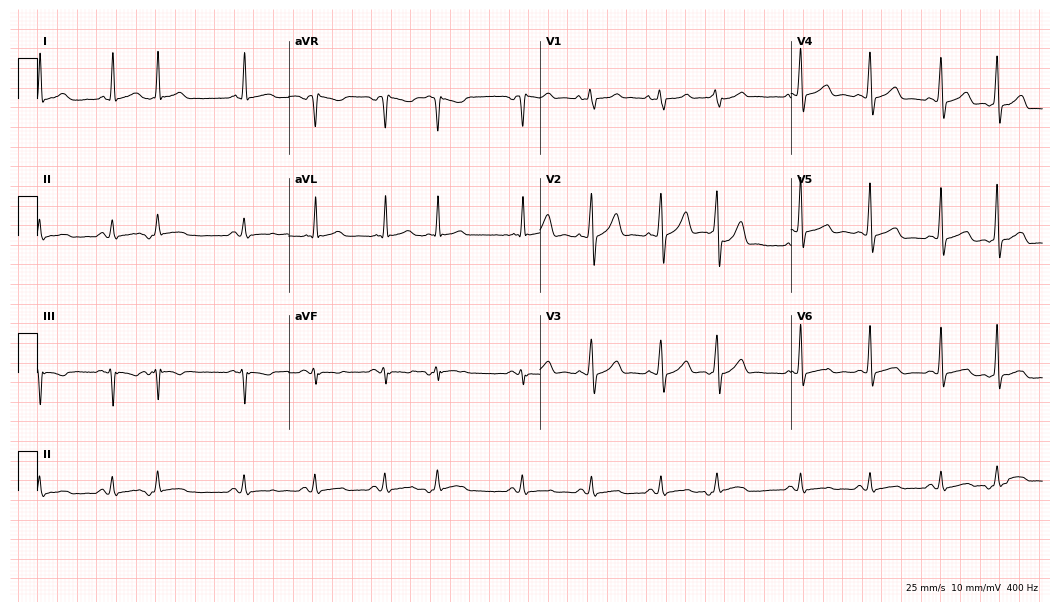
Resting 12-lead electrocardiogram (10.2-second recording at 400 Hz). Patient: a man, 65 years old. None of these six findings is recorded: first-degree AV block, right bundle branch block, left bundle branch block, sinus bradycardia, atrial fibrillation, sinus tachycardia.